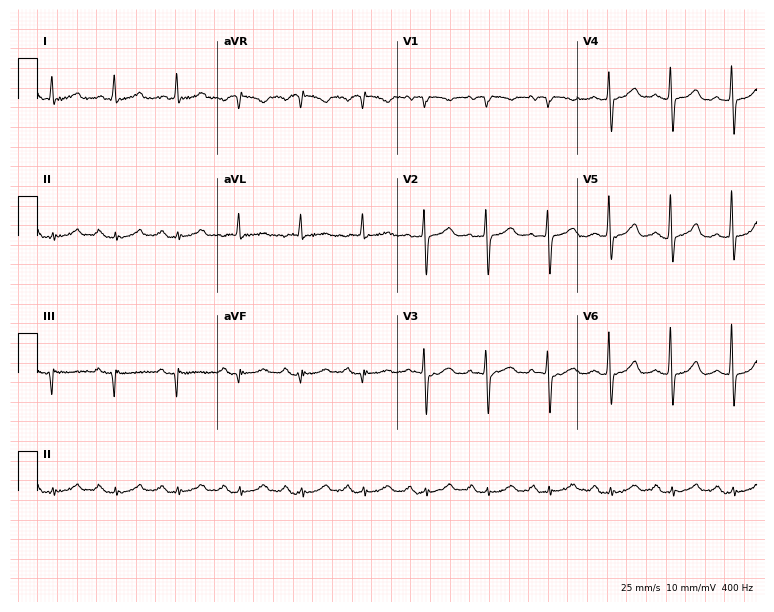
Resting 12-lead electrocardiogram (7.3-second recording at 400 Hz). Patient: a female, 79 years old. None of these six findings is recorded: first-degree AV block, right bundle branch block, left bundle branch block, sinus bradycardia, atrial fibrillation, sinus tachycardia. Findings outside these six are not listed.